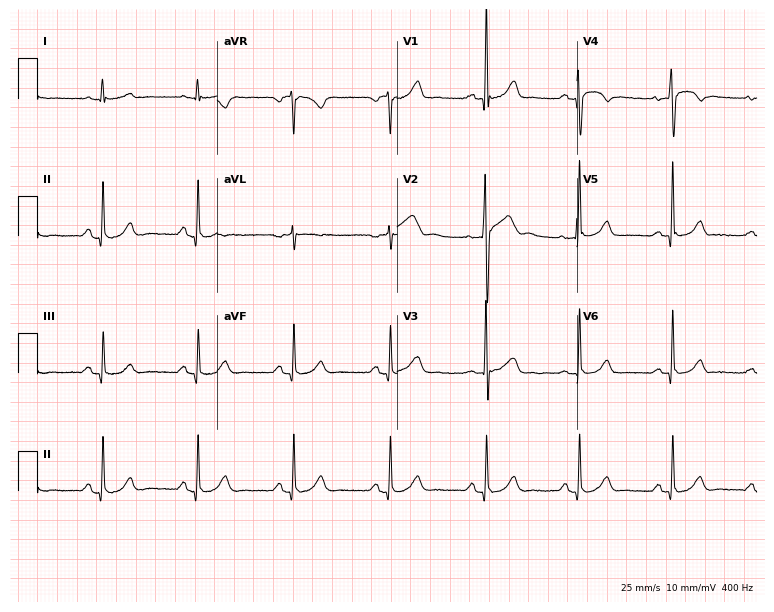
Electrocardiogram, a male patient, 63 years old. Of the six screened findings (first-degree AV block, right bundle branch block (RBBB), left bundle branch block (LBBB), sinus bradycardia, atrial fibrillation (AF), sinus tachycardia), none is recorded.